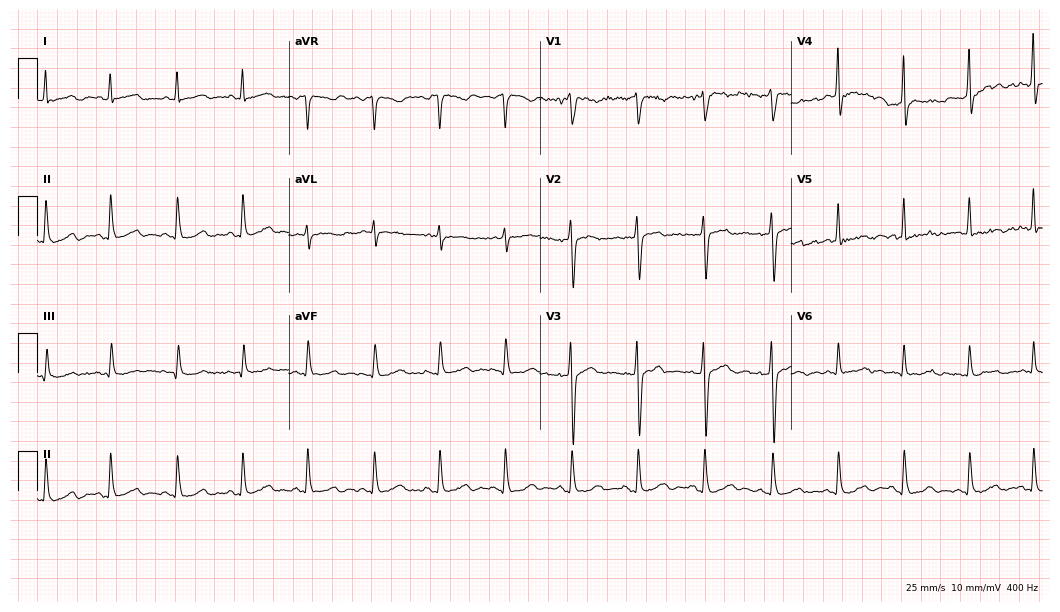
Resting 12-lead electrocardiogram (10.2-second recording at 400 Hz). Patient: a female, 27 years old. None of these six findings is recorded: first-degree AV block, right bundle branch block (RBBB), left bundle branch block (LBBB), sinus bradycardia, atrial fibrillation (AF), sinus tachycardia. Other findings, if any, are not listed.